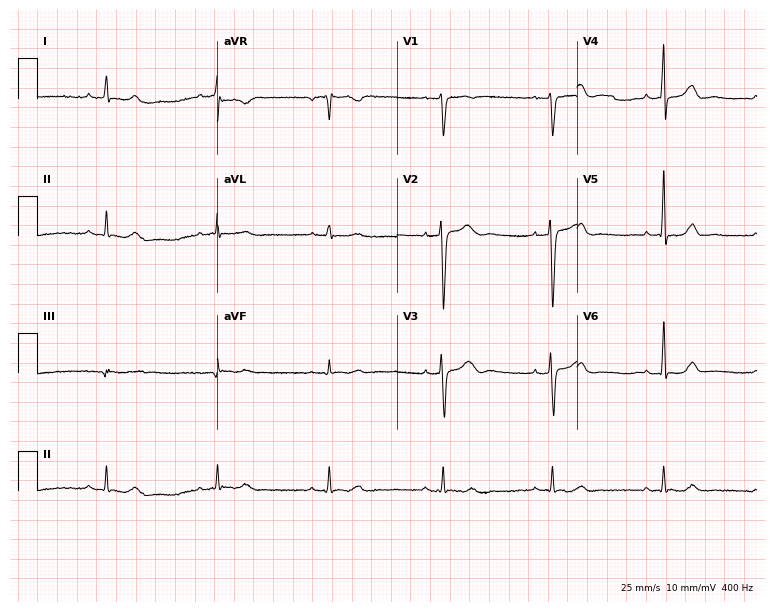
Electrocardiogram (7.3-second recording at 400 Hz), a 42-year-old female. Overall reading on record: normal ECG.